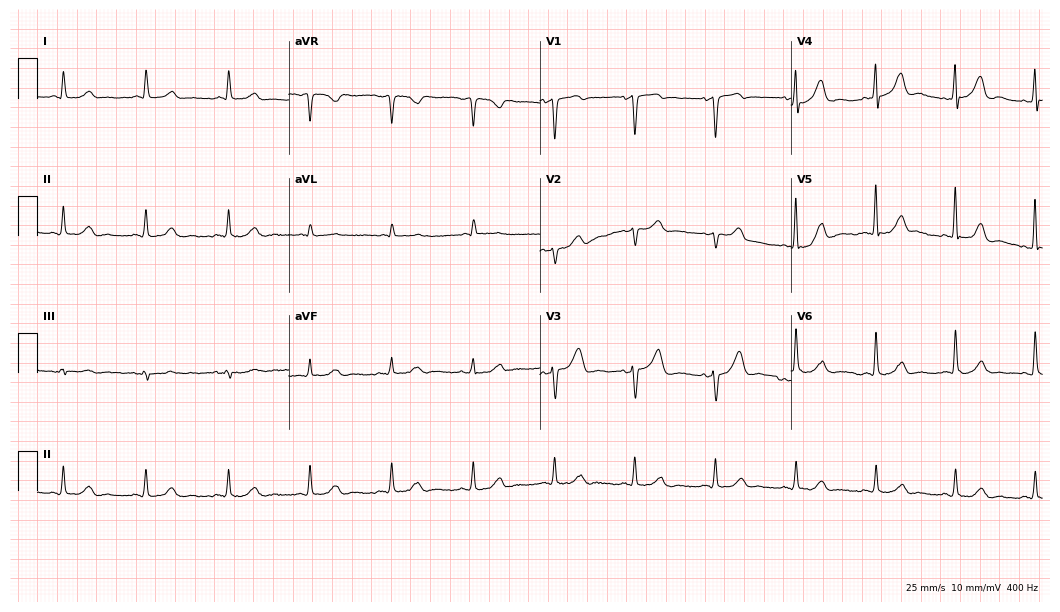
Electrocardiogram (10.2-second recording at 400 Hz), a male, 65 years old. Overall reading on record: normal ECG.